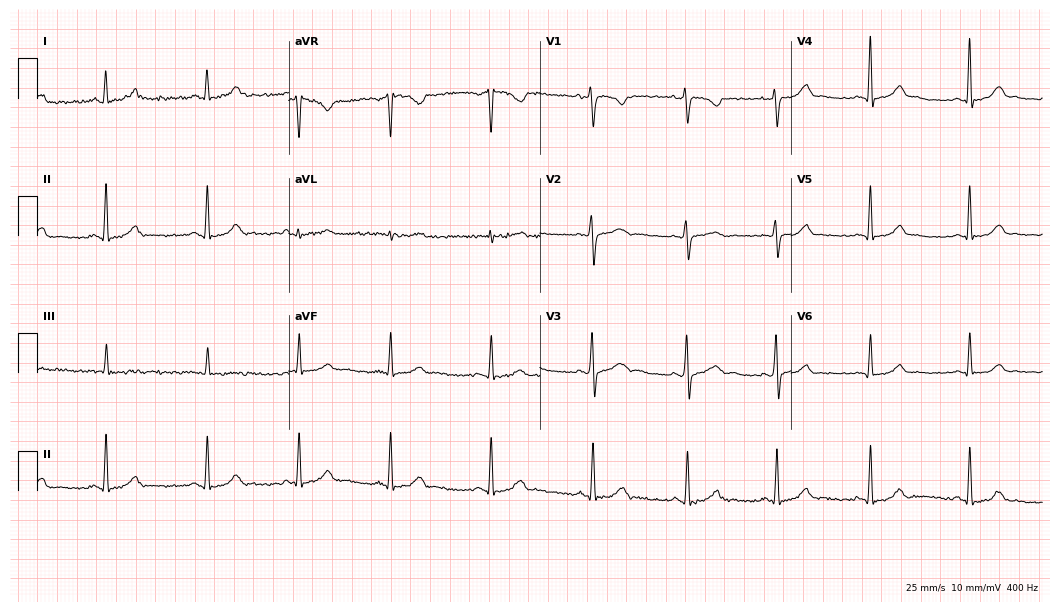
12-lead ECG from a female patient, 35 years old. Recorded interpretation: within normal limits.